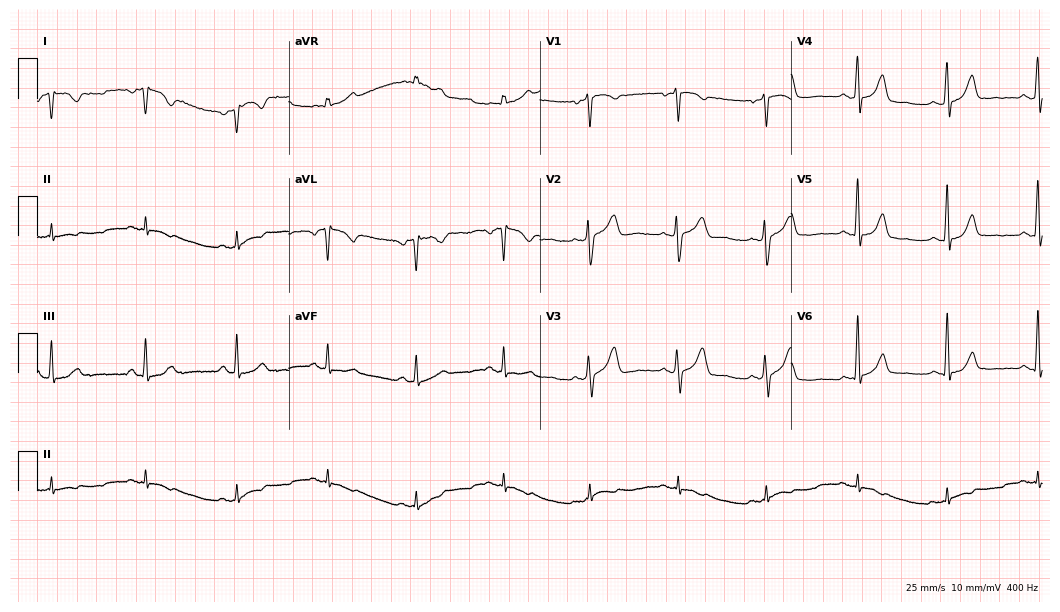
ECG (10.2-second recording at 400 Hz) — a female patient, 43 years old. Screened for six findings — first-degree AV block, right bundle branch block, left bundle branch block, sinus bradycardia, atrial fibrillation, sinus tachycardia — none is recorded.